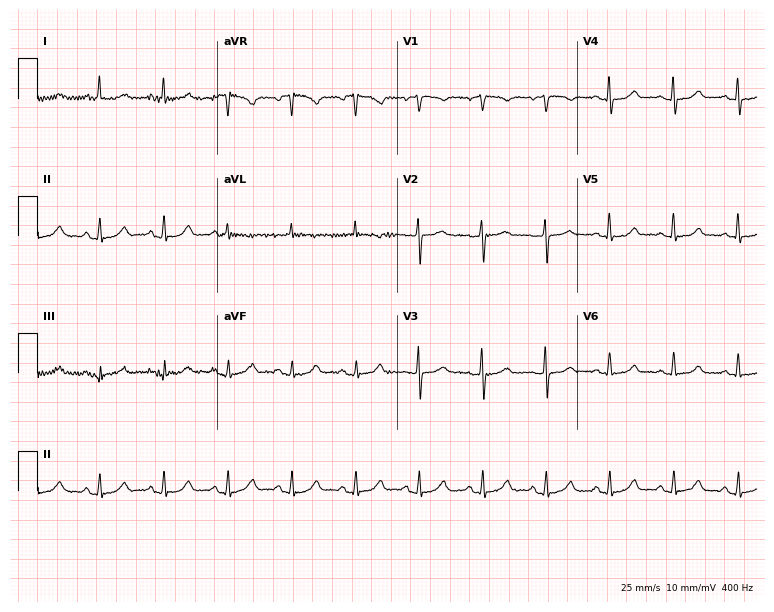
12-lead ECG from a 75-year-old female patient. Recorded interpretation: within normal limits.